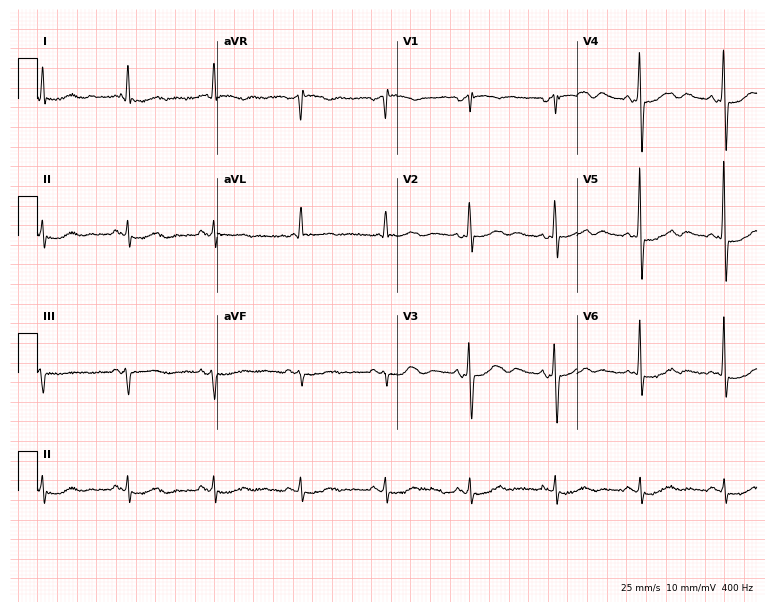
12-lead ECG from a male, 80 years old (7.3-second recording at 400 Hz). No first-degree AV block, right bundle branch block (RBBB), left bundle branch block (LBBB), sinus bradycardia, atrial fibrillation (AF) or sinus tachycardia recorded for this tracing. Only these six findings were labelled.